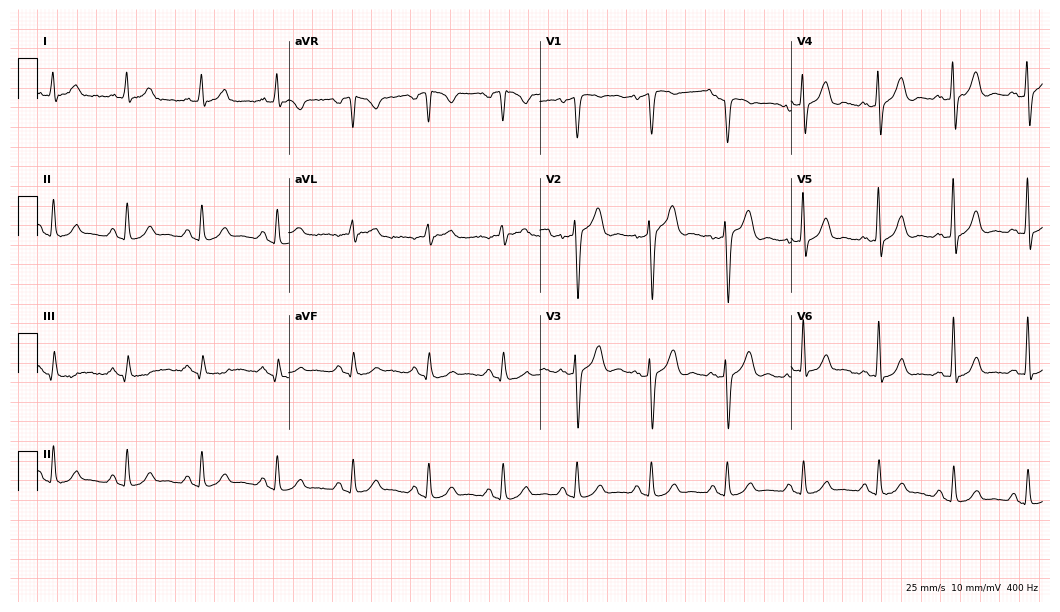
12-lead ECG from a man, 56 years old. Recorded interpretation: within normal limits.